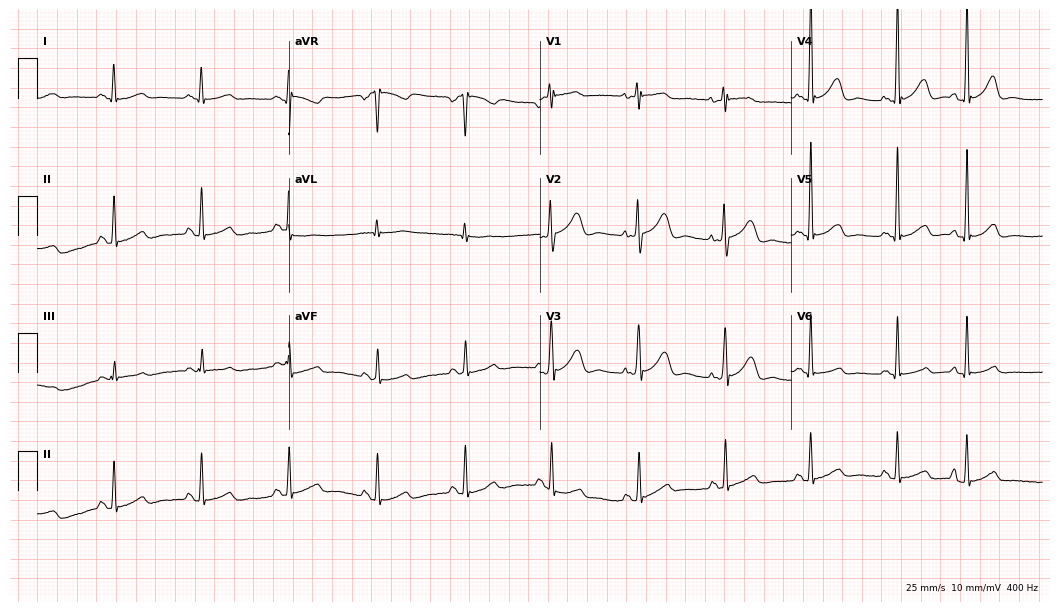
ECG (10.2-second recording at 400 Hz) — a female, 43 years old. Labelled as a normal ECG.